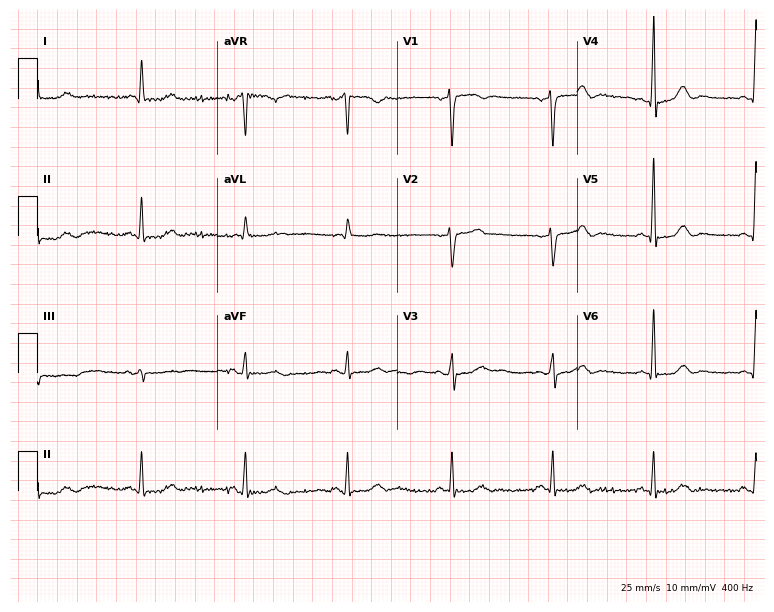
12-lead ECG from a 59-year-old man. Screened for six findings — first-degree AV block, right bundle branch block, left bundle branch block, sinus bradycardia, atrial fibrillation, sinus tachycardia — none is recorded. Findings outside these six are not listed.